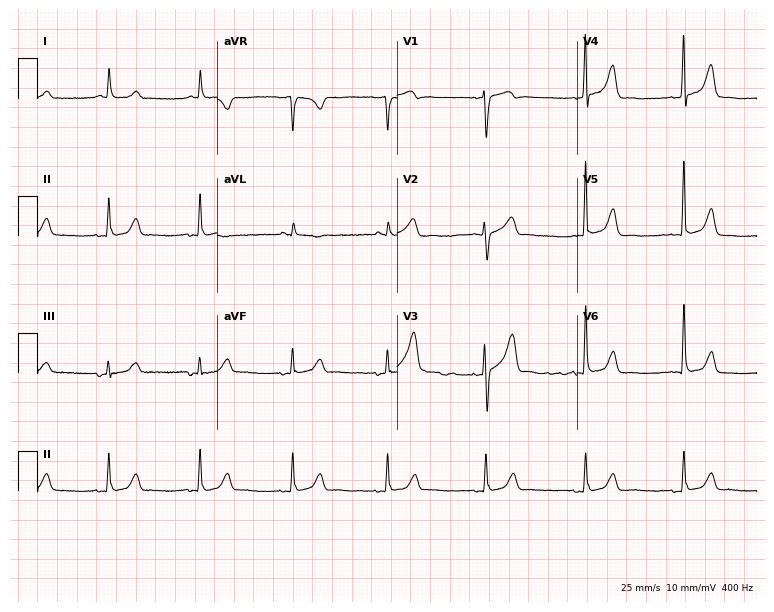
Electrocardiogram, an 87-year-old male. Overall reading on record: normal ECG.